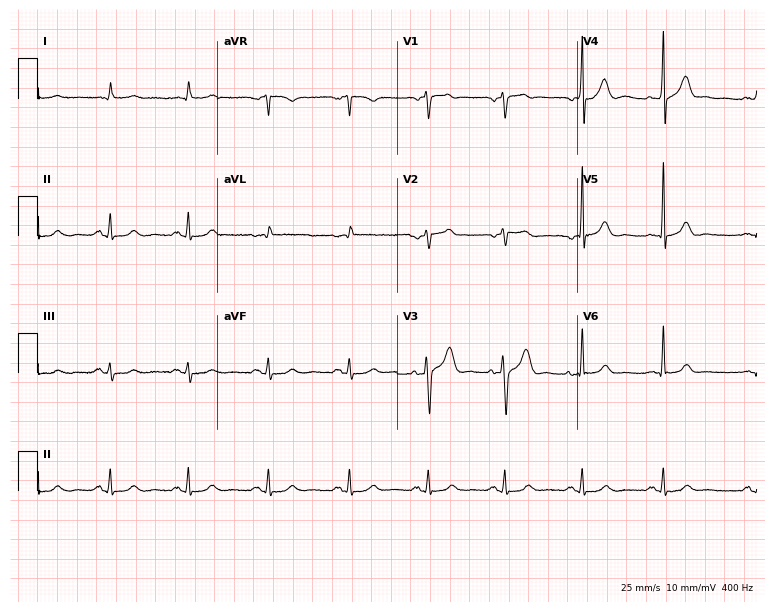
Electrocardiogram (7.3-second recording at 400 Hz), a male patient, 86 years old. Overall reading on record: normal ECG.